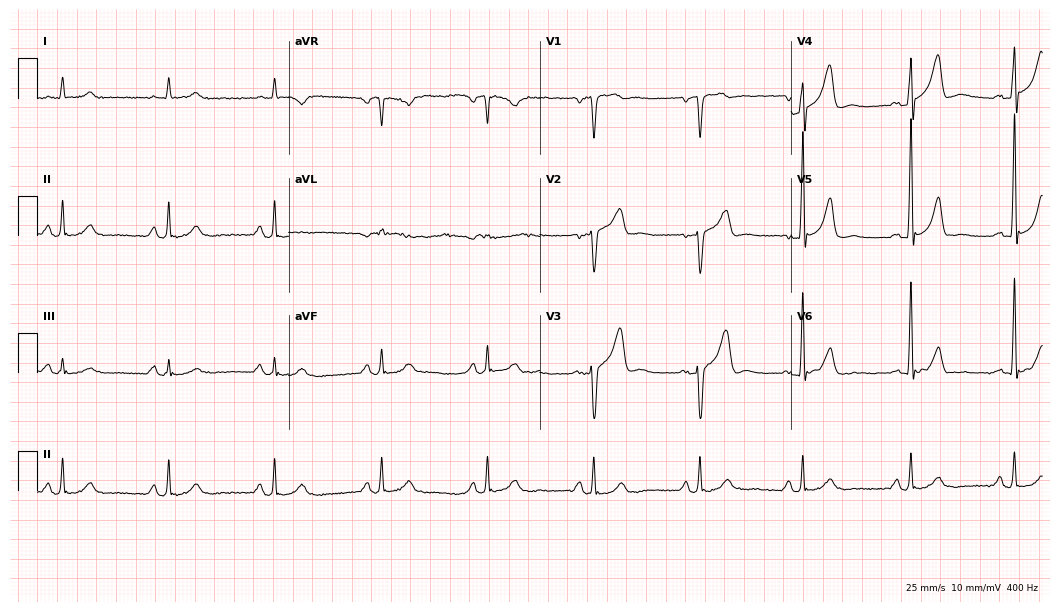
Electrocardiogram (10.2-second recording at 400 Hz), a 67-year-old man. Overall reading on record: normal ECG.